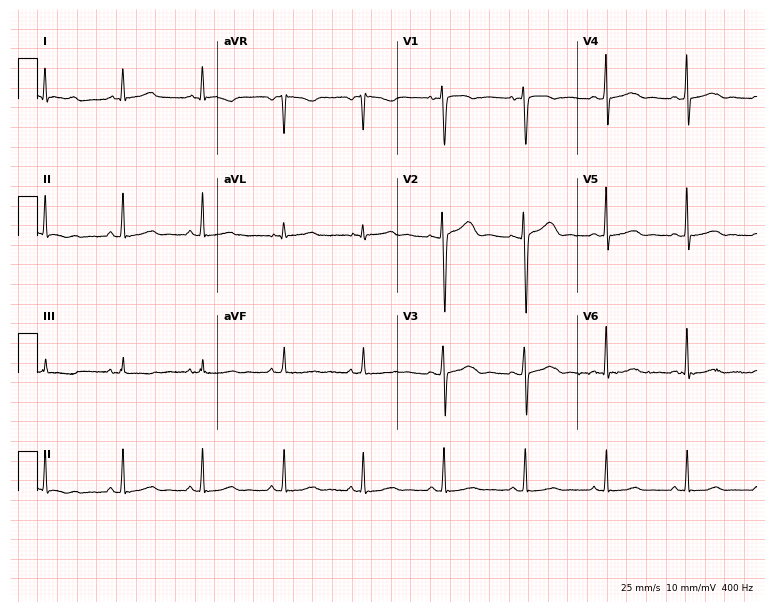
ECG (7.3-second recording at 400 Hz) — a 48-year-old woman. Screened for six findings — first-degree AV block, right bundle branch block, left bundle branch block, sinus bradycardia, atrial fibrillation, sinus tachycardia — none is recorded. Findings outside these six are not listed.